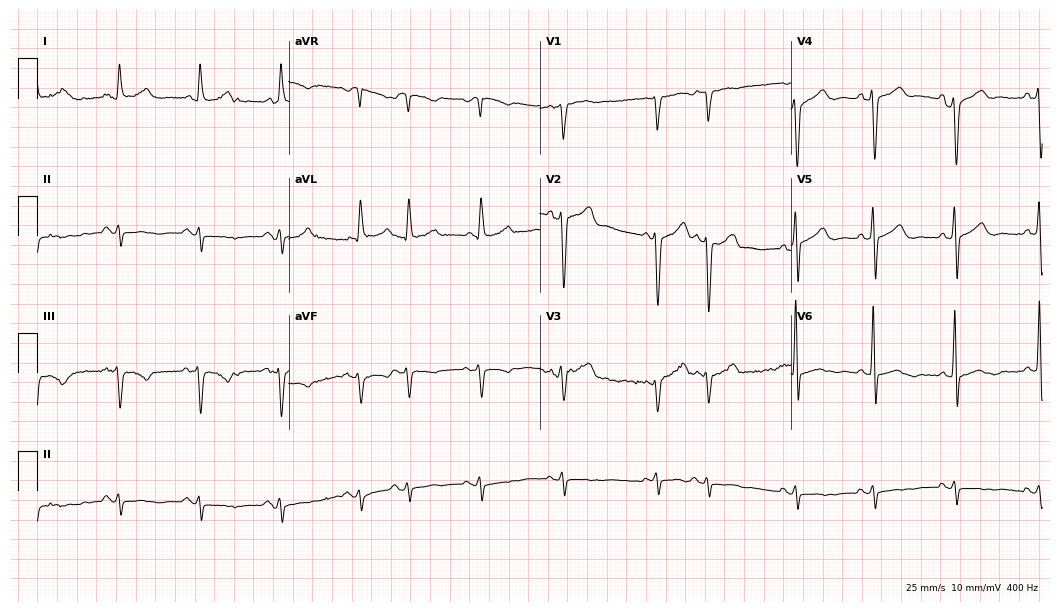
Electrocardiogram, a man, 83 years old. Of the six screened findings (first-degree AV block, right bundle branch block (RBBB), left bundle branch block (LBBB), sinus bradycardia, atrial fibrillation (AF), sinus tachycardia), none is recorded.